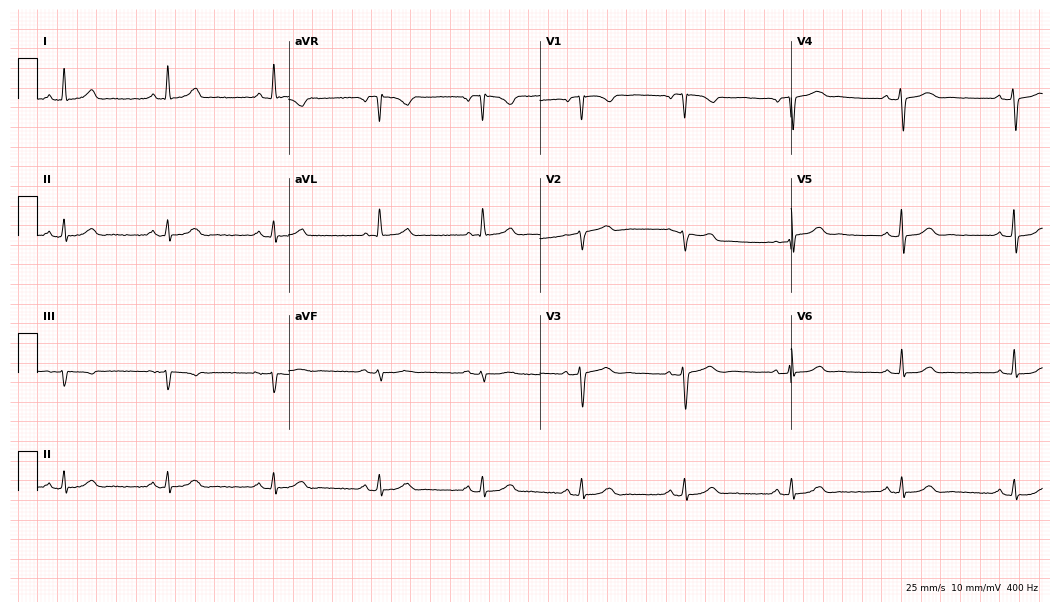
Resting 12-lead electrocardiogram. Patient: a woman, 63 years old. None of these six findings is recorded: first-degree AV block, right bundle branch block (RBBB), left bundle branch block (LBBB), sinus bradycardia, atrial fibrillation (AF), sinus tachycardia.